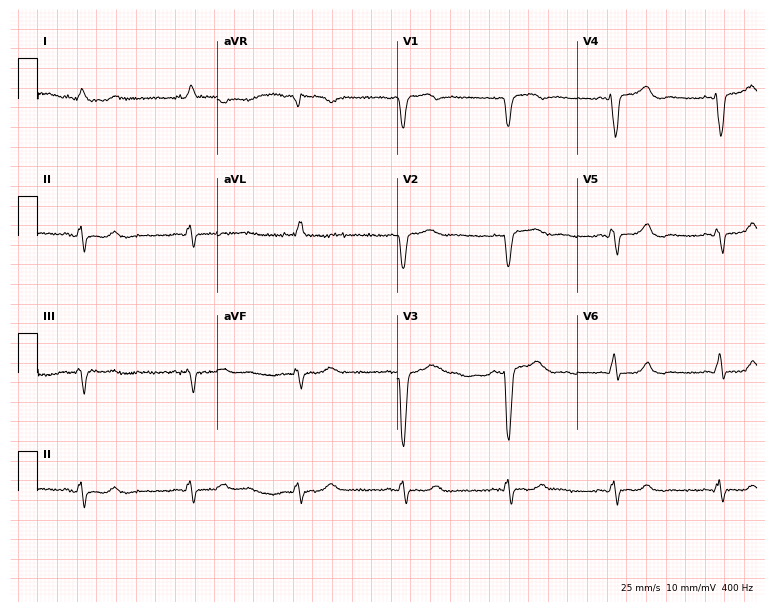
ECG (7.3-second recording at 400 Hz) — an 80-year-old female patient. Findings include left bundle branch block (LBBB).